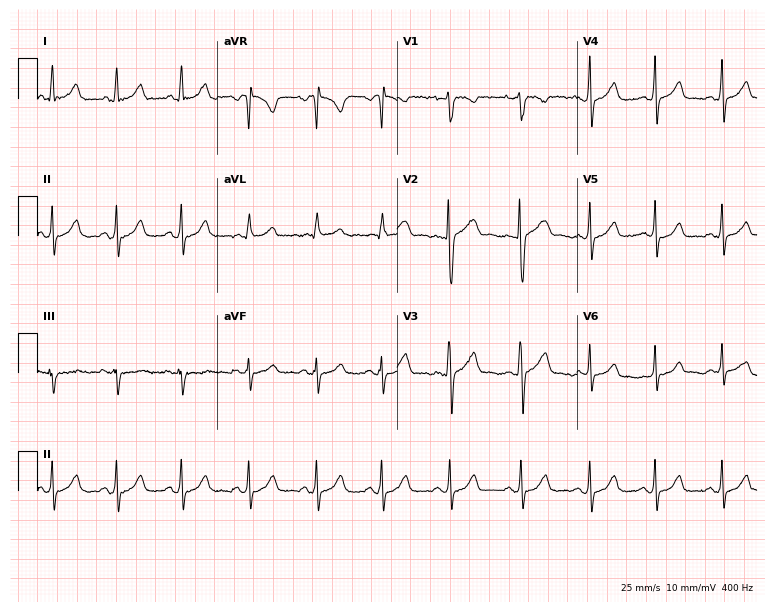
12-lead ECG from a 28-year-old female patient. Screened for six findings — first-degree AV block, right bundle branch block, left bundle branch block, sinus bradycardia, atrial fibrillation, sinus tachycardia — none is recorded.